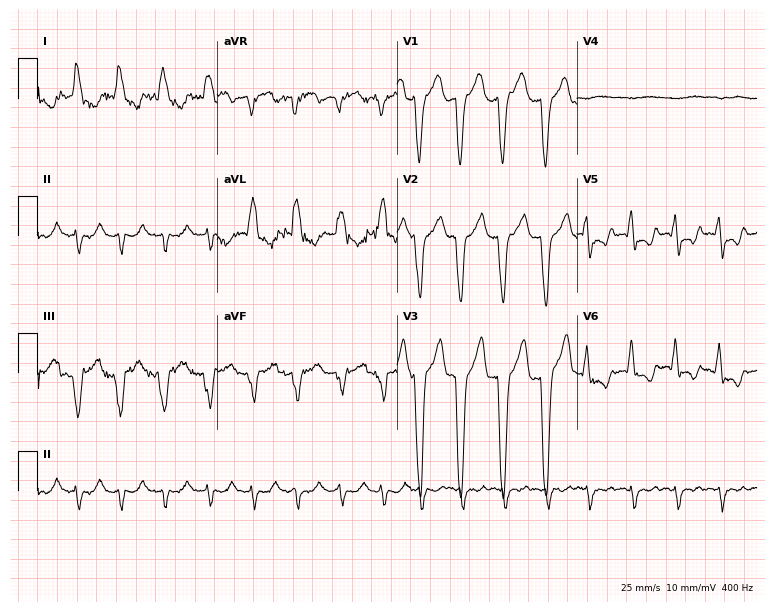
12-lead ECG from a female, 84 years old. Shows atrial fibrillation.